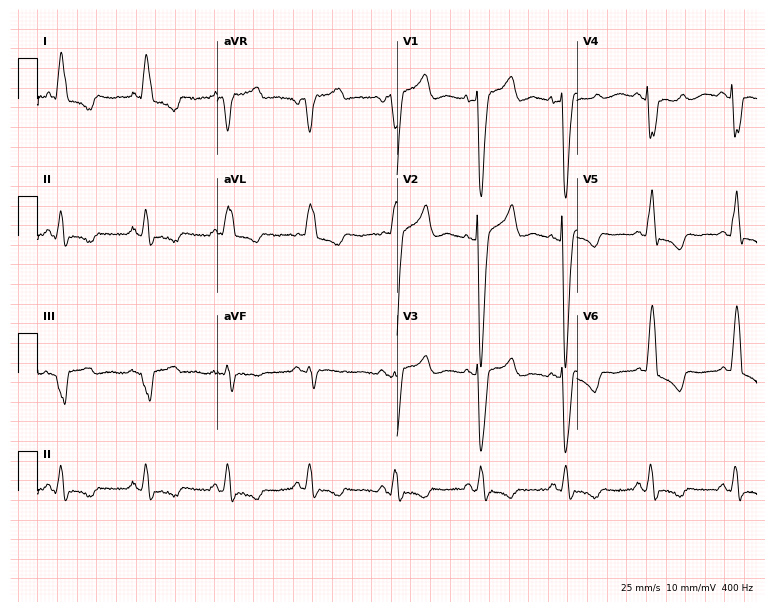
Standard 12-lead ECG recorded from a female patient, 63 years old. None of these six findings is recorded: first-degree AV block, right bundle branch block, left bundle branch block, sinus bradycardia, atrial fibrillation, sinus tachycardia. Findings outside these six are not listed.